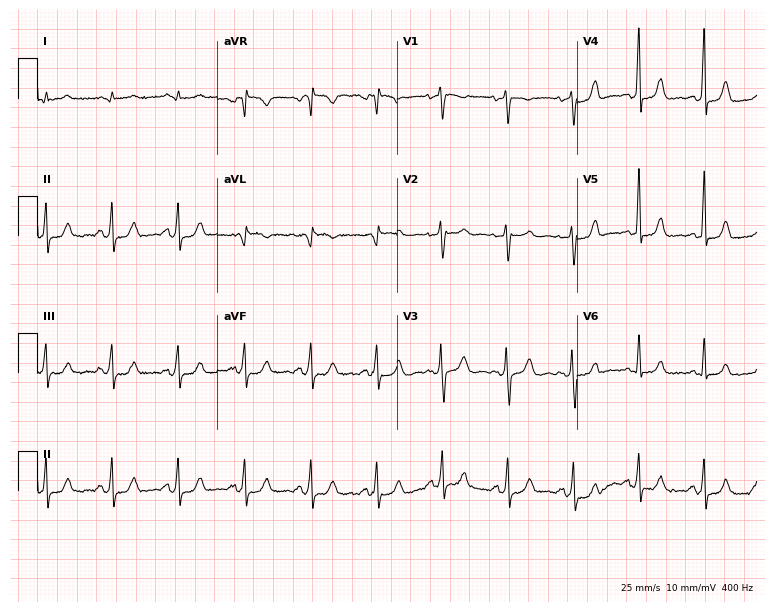
12-lead ECG from a female, 61 years old. Recorded interpretation: within normal limits.